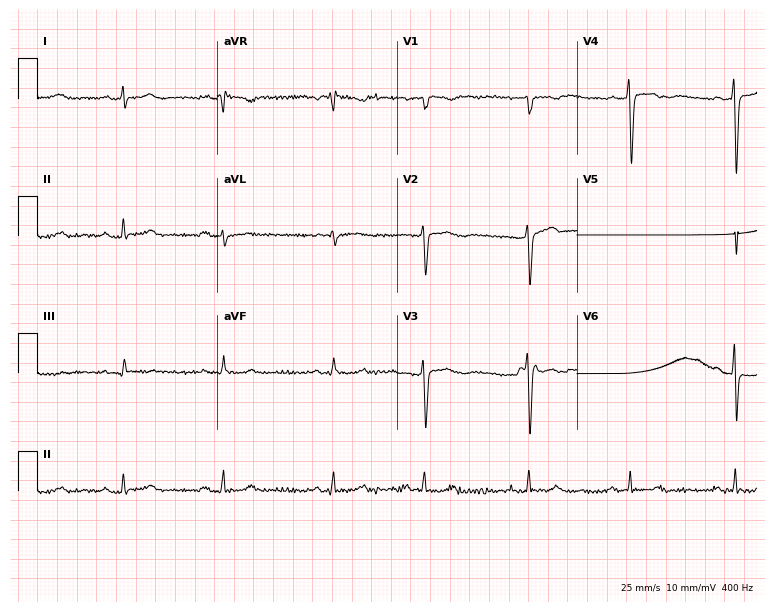
ECG — a woman, 31 years old. Screened for six findings — first-degree AV block, right bundle branch block (RBBB), left bundle branch block (LBBB), sinus bradycardia, atrial fibrillation (AF), sinus tachycardia — none is recorded.